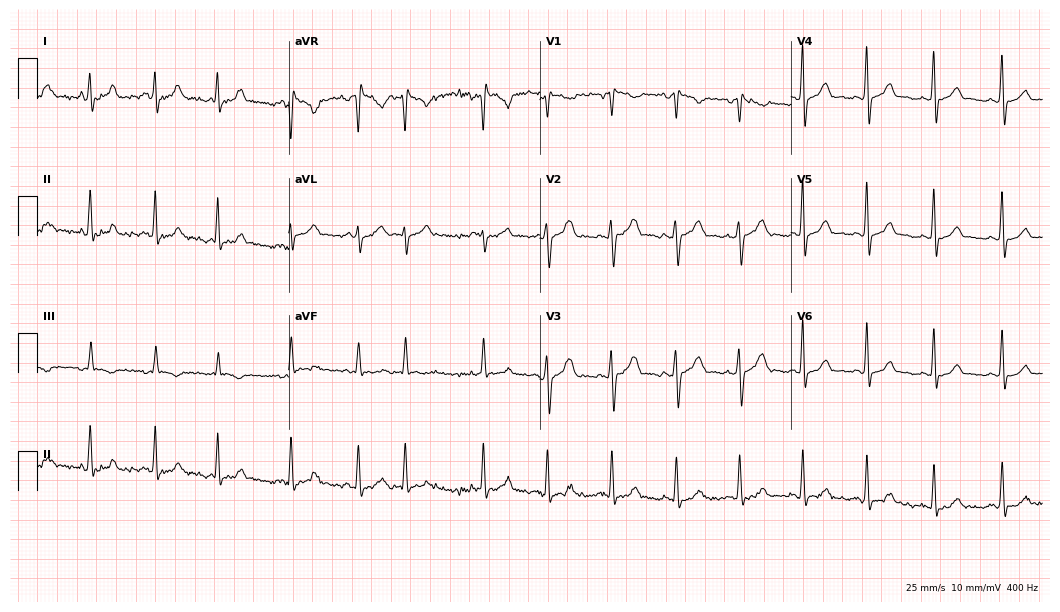
12-lead ECG from a female, 26 years old (10.2-second recording at 400 Hz). No first-degree AV block, right bundle branch block, left bundle branch block, sinus bradycardia, atrial fibrillation or sinus tachycardia recorded for this tracing. Findings outside these six are not listed.